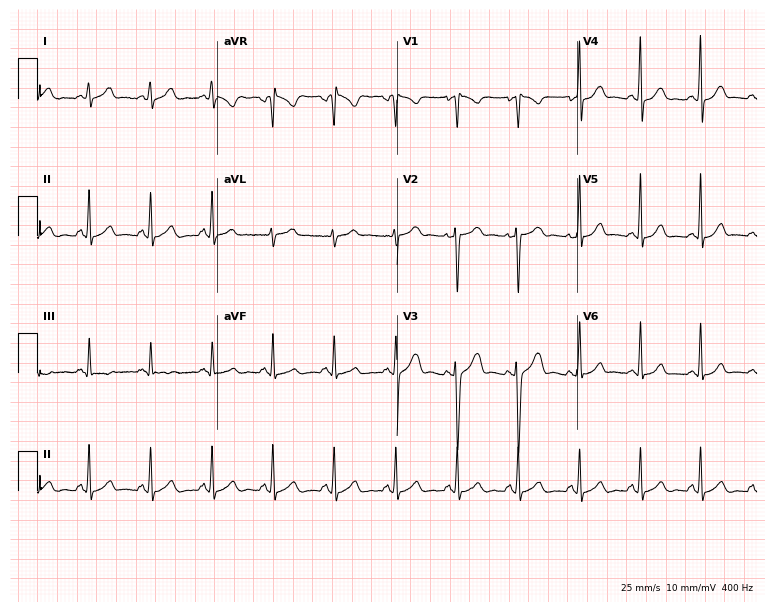
12-lead ECG from a 23-year-old woman. Labelled as a normal ECG.